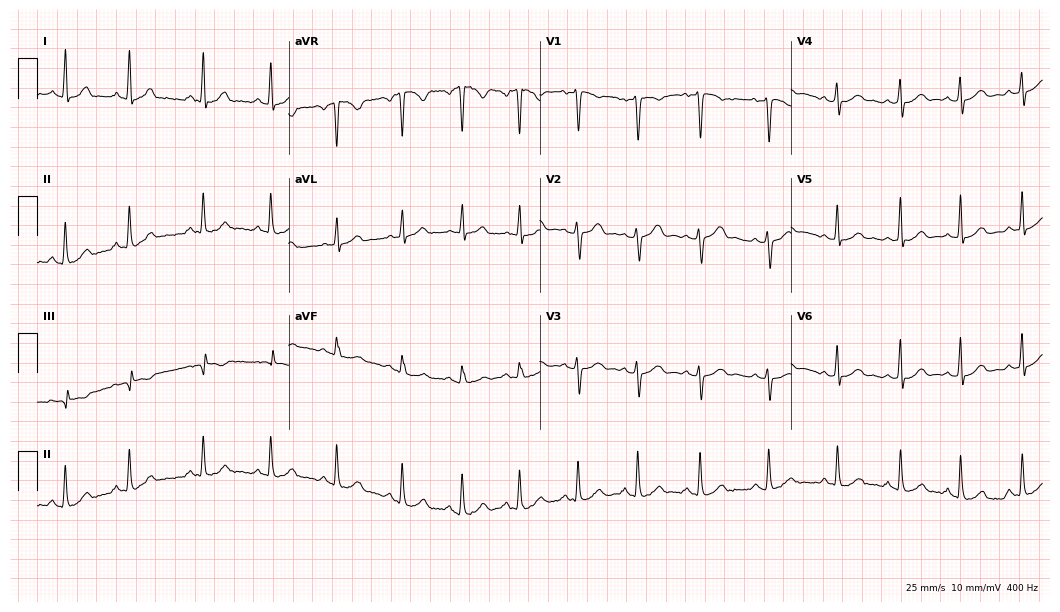
Standard 12-lead ECG recorded from a female, 21 years old. Read as a normal ECG.